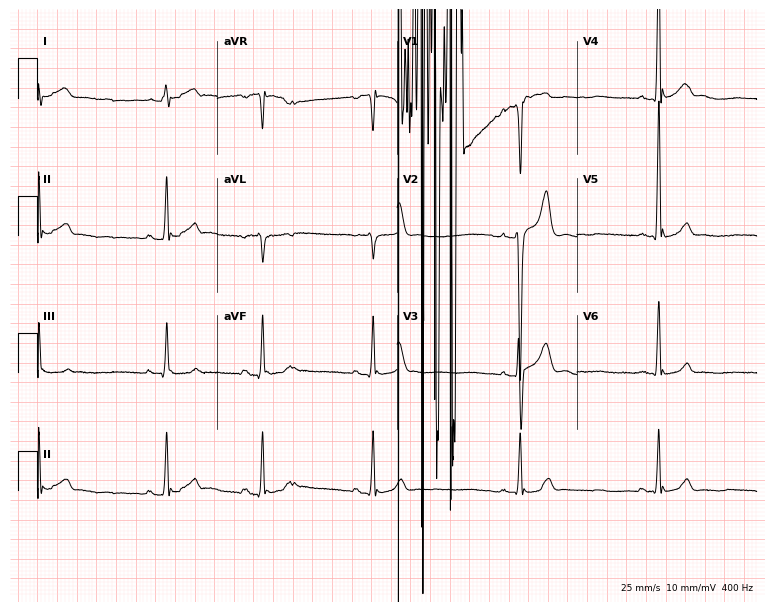
12-lead ECG (7.3-second recording at 400 Hz) from a 20-year-old male. Findings include sinus bradycardia (a sinus rate of 50 beats per minute or less).